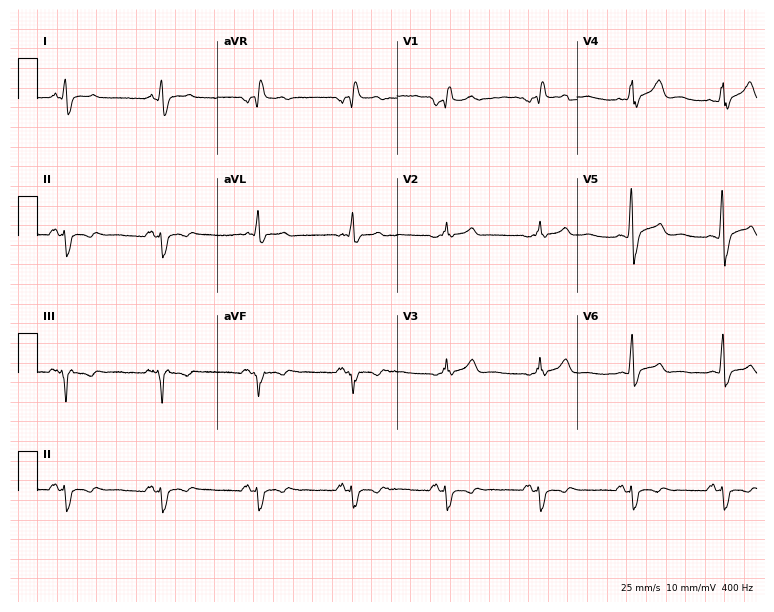
ECG (7.3-second recording at 400 Hz) — a male patient, 66 years old. Findings include right bundle branch block.